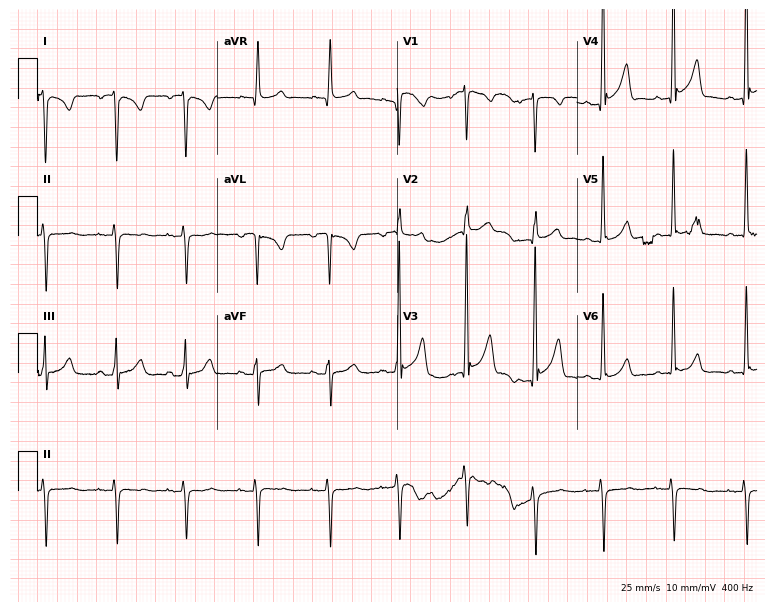
12-lead ECG from a 32-year-old male (7.3-second recording at 400 Hz). No first-degree AV block, right bundle branch block (RBBB), left bundle branch block (LBBB), sinus bradycardia, atrial fibrillation (AF) or sinus tachycardia recorded for this tracing. Findings outside these six are not listed.